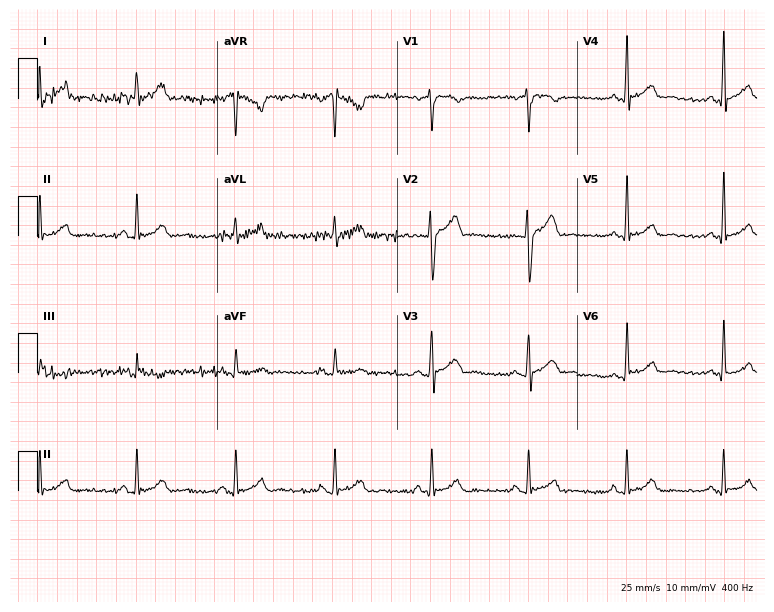
Standard 12-lead ECG recorded from a male patient, 31 years old (7.3-second recording at 400 Hz). Read as a normal ECG.